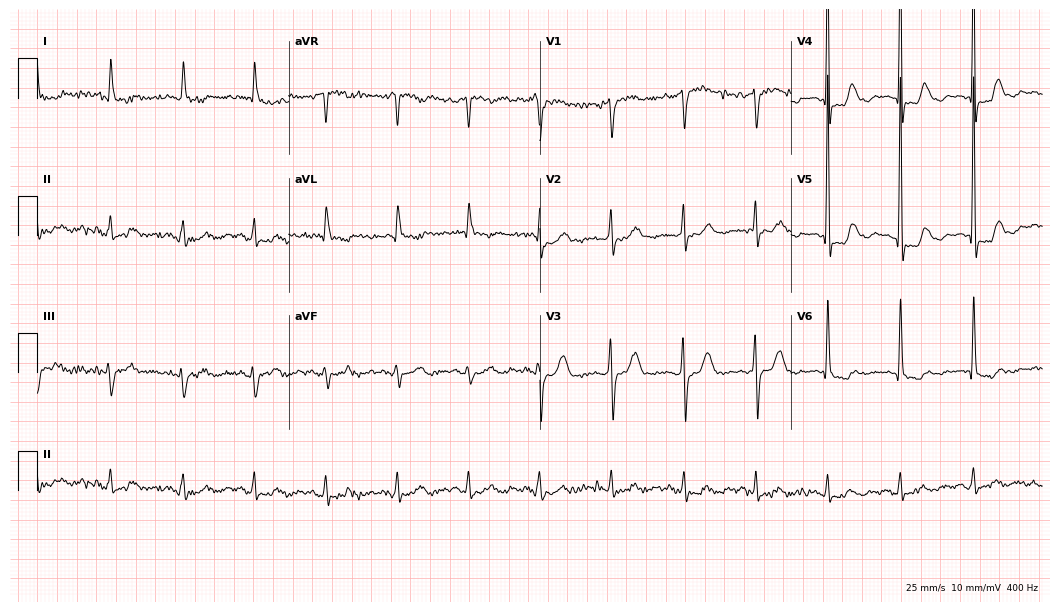
12-lead ECG from a 76-year-old female. Screened for six findings — first-degree AV block, right bundle branch block (RBBB), left bundle branch block (LBBB), sinus bradycardia, atrial fibrillation (AF), sinus tachycardia — none is recorded.